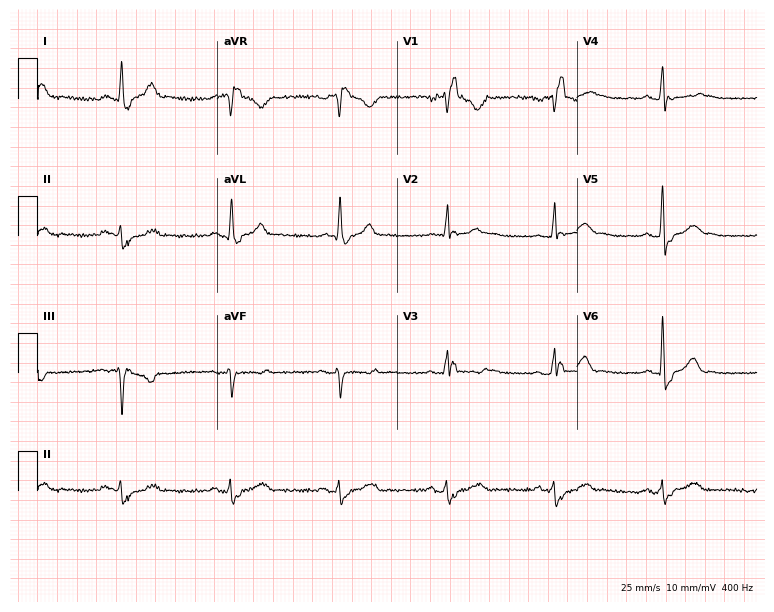
12-lead ECG from a 60-year-old male. Findings include right bundle branch block (RBBB).